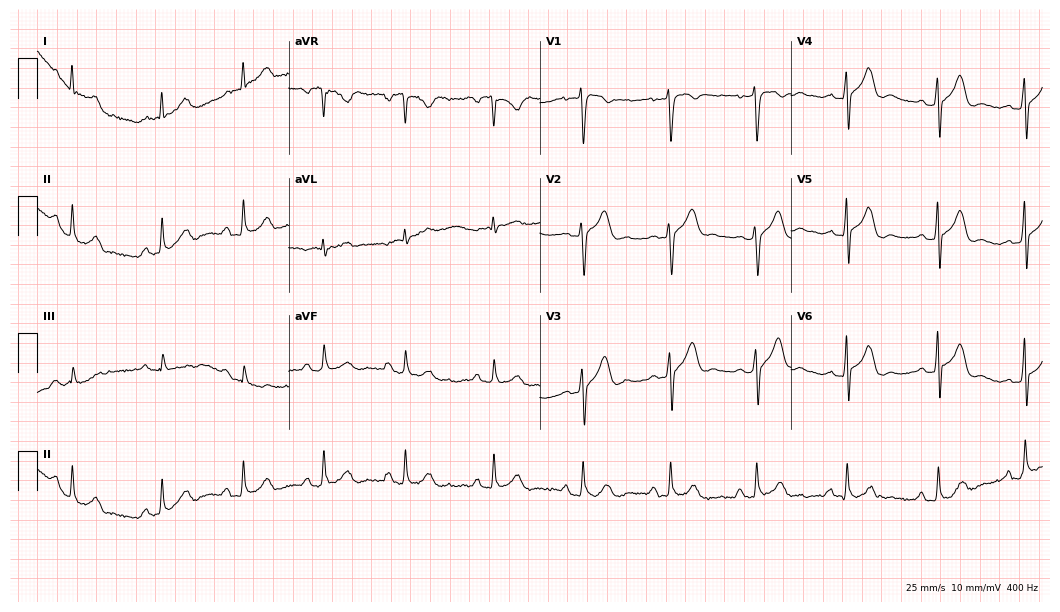
ECG — a 48-year-old male. Labelled as a normal ECG.